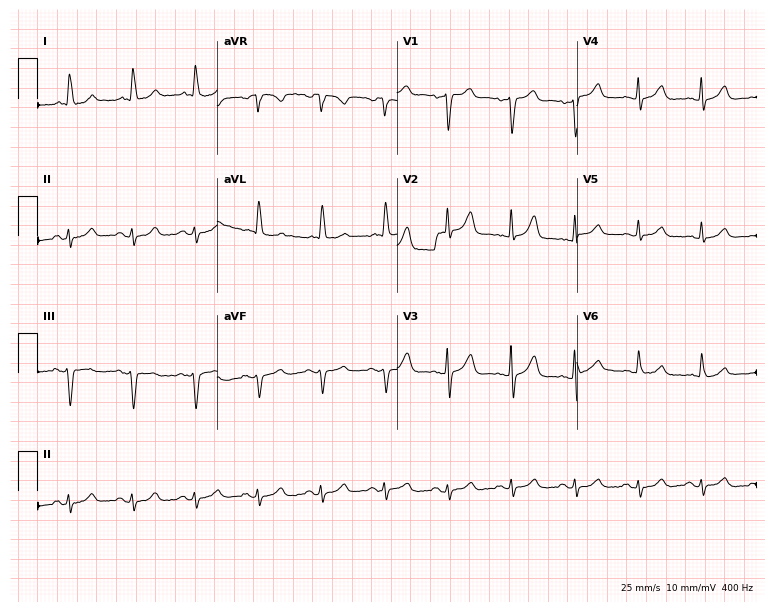
Electrocardiogram (7.3-second recording at 400 Hz), a 76-year-old female patient. Of the six screened findings (first-degree AV block, right bundle branch block (RBBB), left bundle branch block (LBBB), sinus bradycardia, atrial fibrillation (AF), sinus tachycardia), none is recorded.